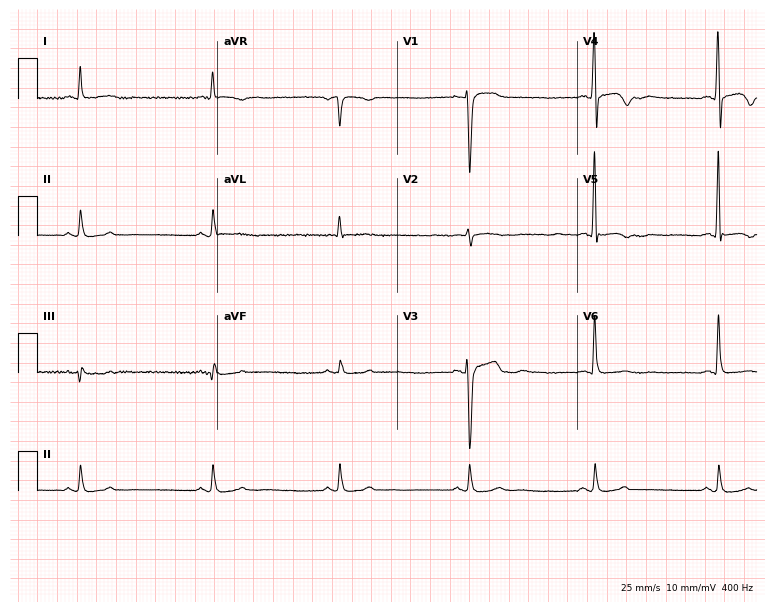
ECG (7.3-second recording at 400 Hz) — a 65-year-old male. Screened for six findings — first-degree AV block, right bundle branch block (RBBB), left bundle branch block (LBBB), sinus bradycardia, atrial fibrillation (AF), sinus tachycardia — none is recorded.